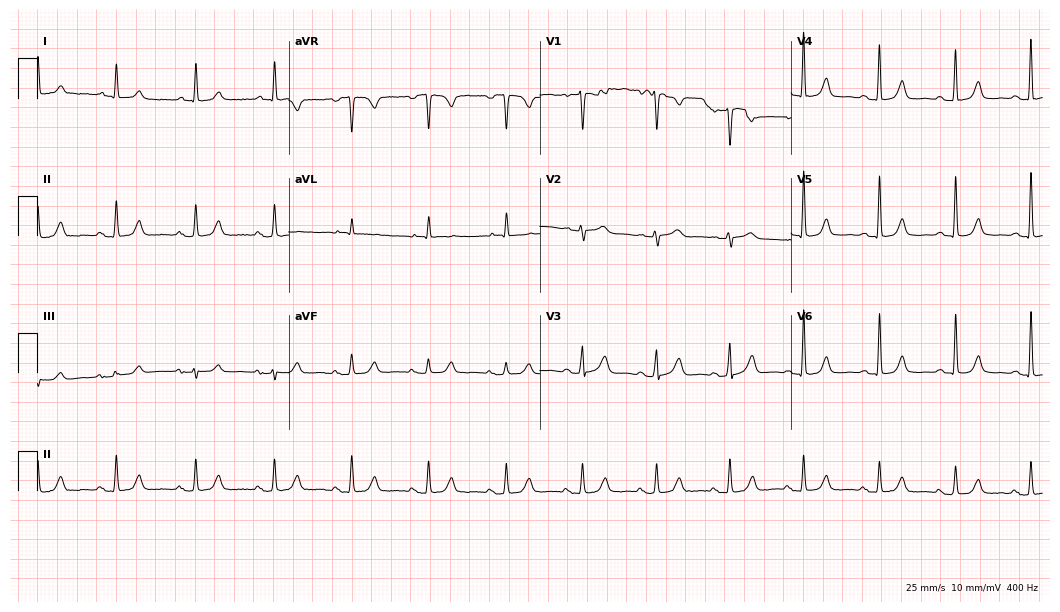
Resting 12-lead electrocardiogram. Patient: a female, 75 years old. Read as a normal ECG.